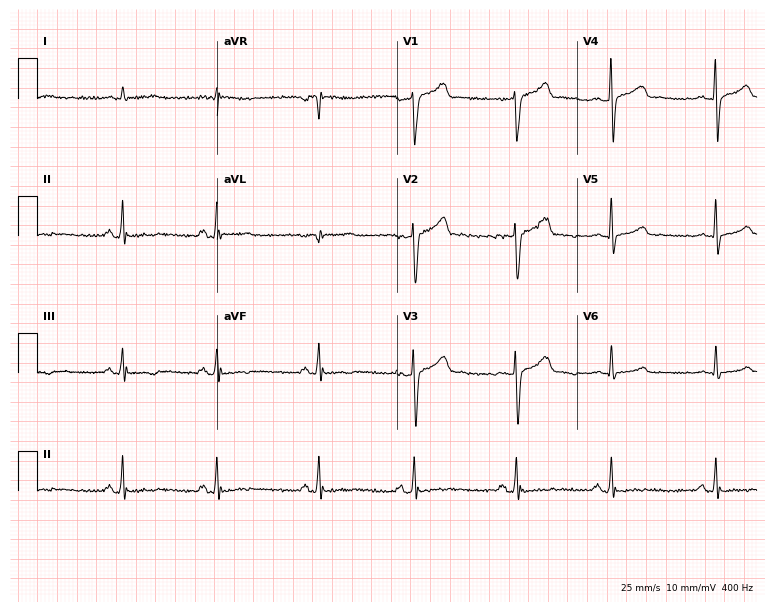
Resting 12-lead electrocardiogram. Patient: a male, 38 years old. Read as a normal ECG.